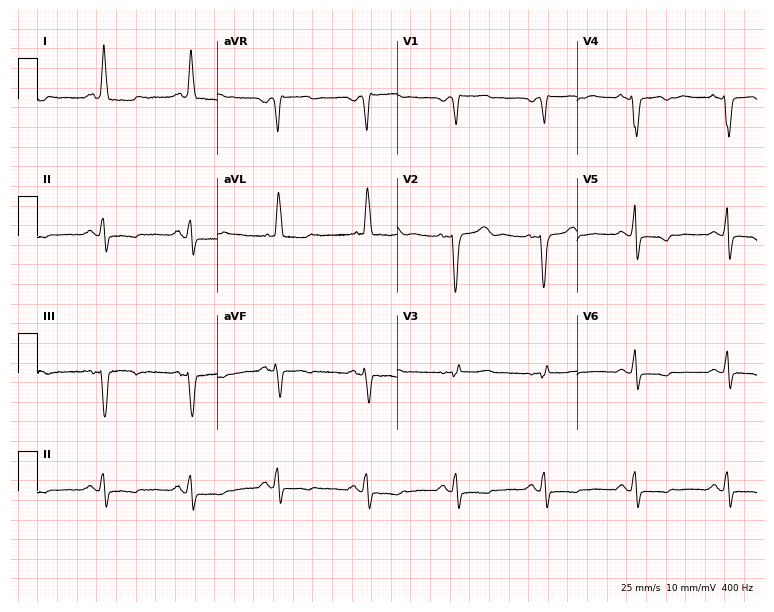
Electrocardiogram, a female patient, 59 years old. Of the six screened findings (first-degree AV block, right bundle branch block, left bundle branch block, sinus bradycardia, atrial fibrillation, sinus tachycardia), none is recorded. Findings outside these six are not listed.